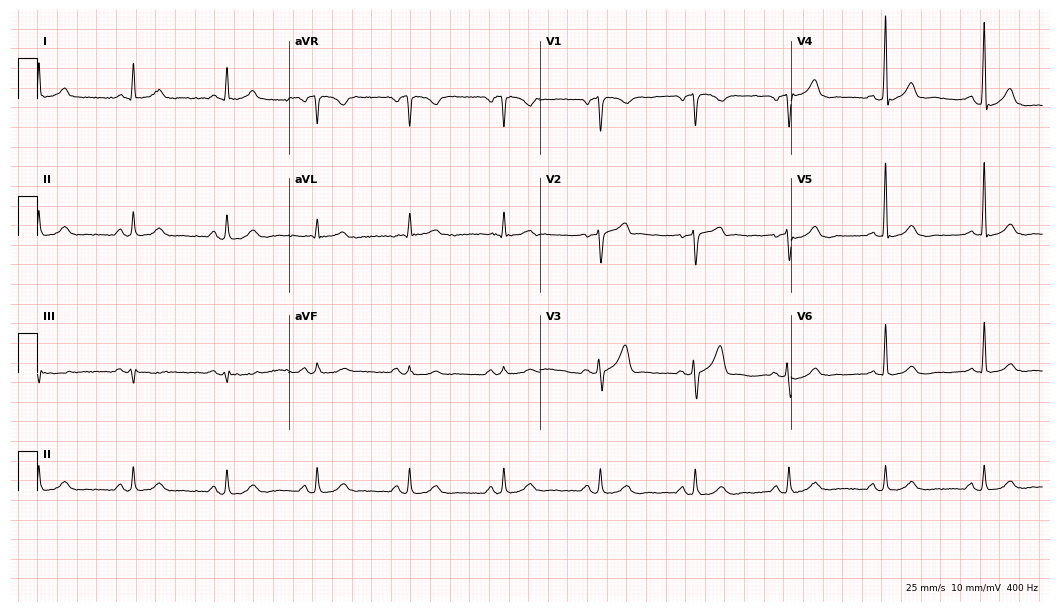
Electrocardiogram, a man, 56 years old. Overall reading on record: normal ECG.